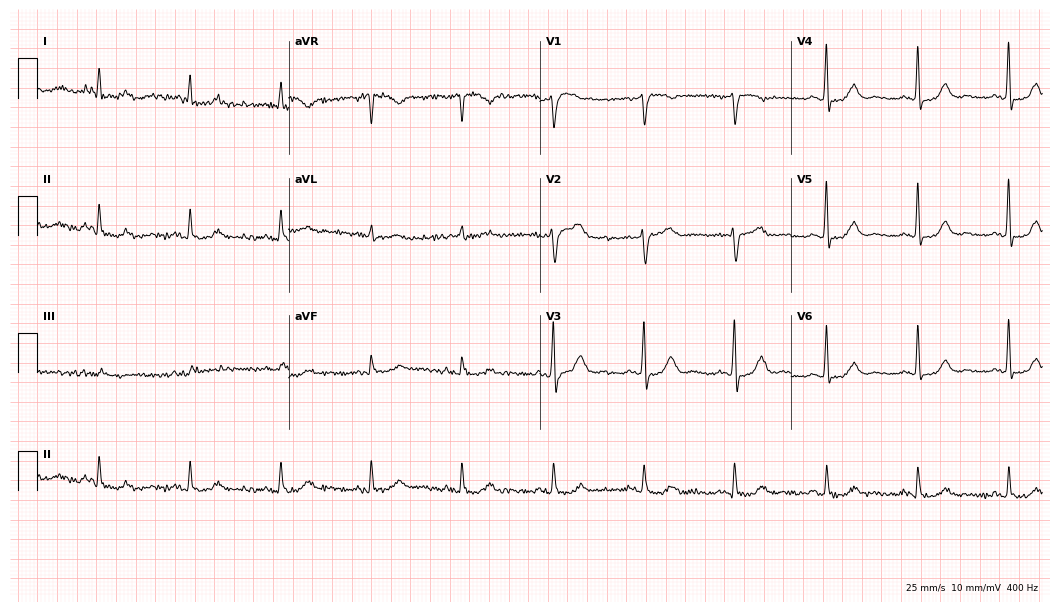
Resting 12-lead electrocardiogram (10.2-second recording at 400 Hz). Patient: a female, 68 years old. None of these six findings is recorded: first-degree AV block, right bundle branch block, left bundle branch block, sinus bradycardia, atrial fibrillation, sinus tachycardia.